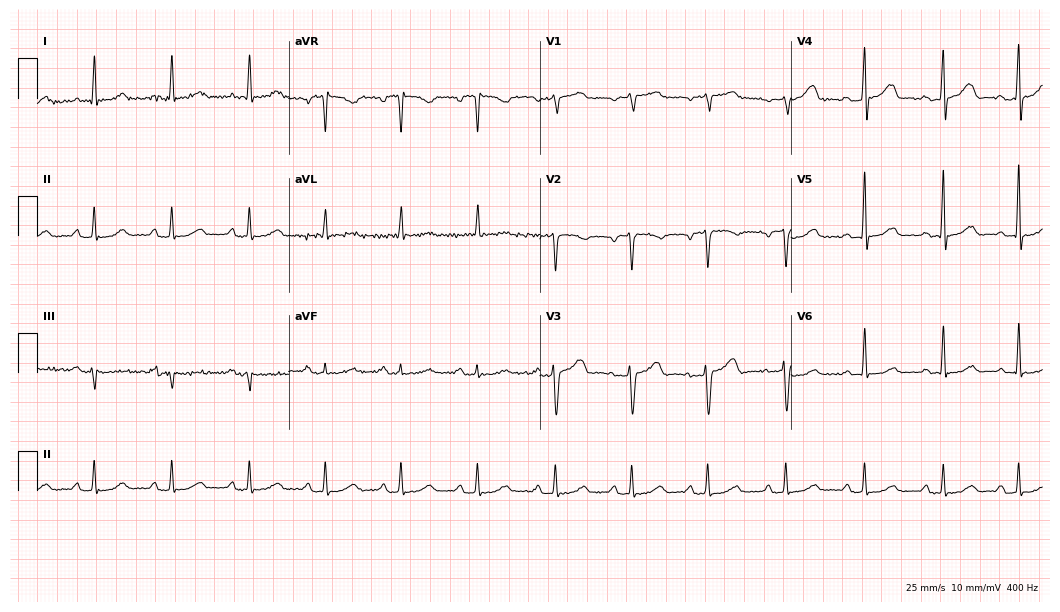
12-lead ECG from a female, 68 years old. Recorded interpretation: within normal limits.